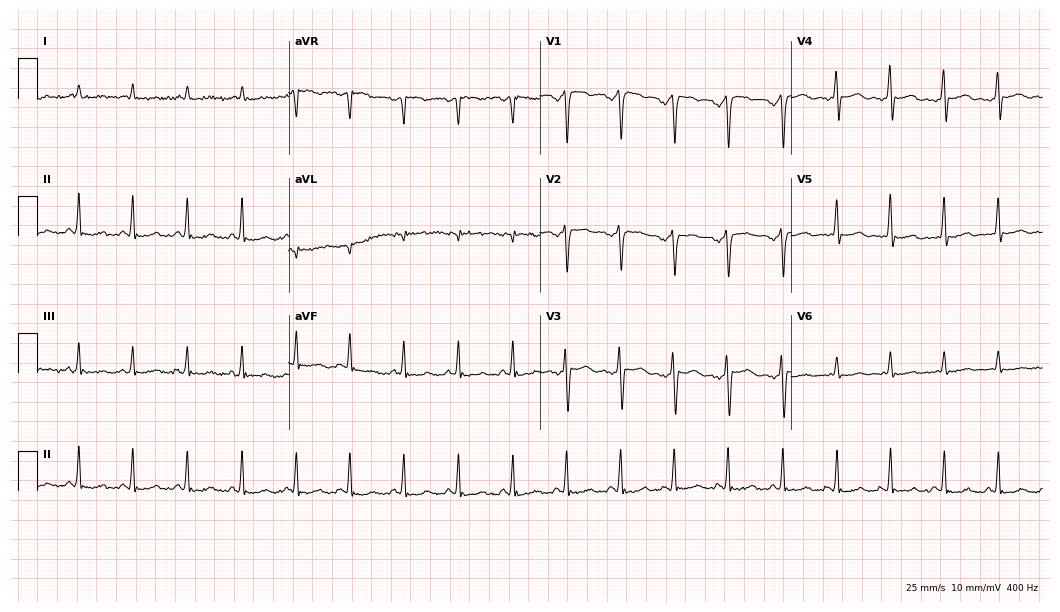
Standard 12-lead ECG recorded from a 68-year-old man. None of these six findings is recorded: first-degree AV block, right bundle branch block, left bundle branch block, sinus bradycardia, atrial fibrillation, sinus tachycardia. Only these six findings were labelled.